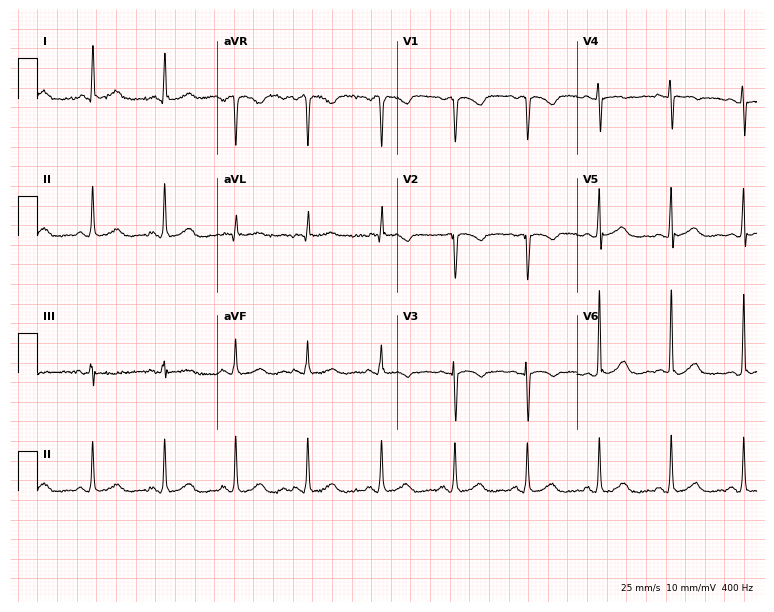
Standard 12-lead ECG recorded from a female, 57 years old. None of these six findings is recorded: first-degree AV block, right bundle branch block, left bundle branch block, sinus bradycardia, atrial fibrillation, sinus tachycardia. Only these six findings were labelled.